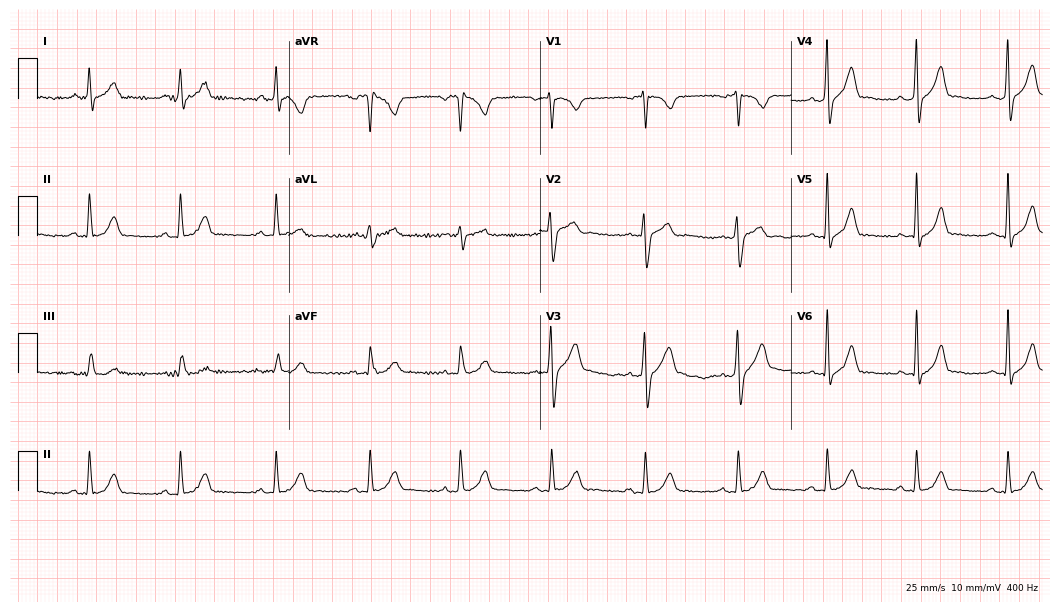
Resting 12-lead electrocardiogram (10.2-second recording at 400 Hz). Patient: a male, 26 years old. Read as a normal ECG.